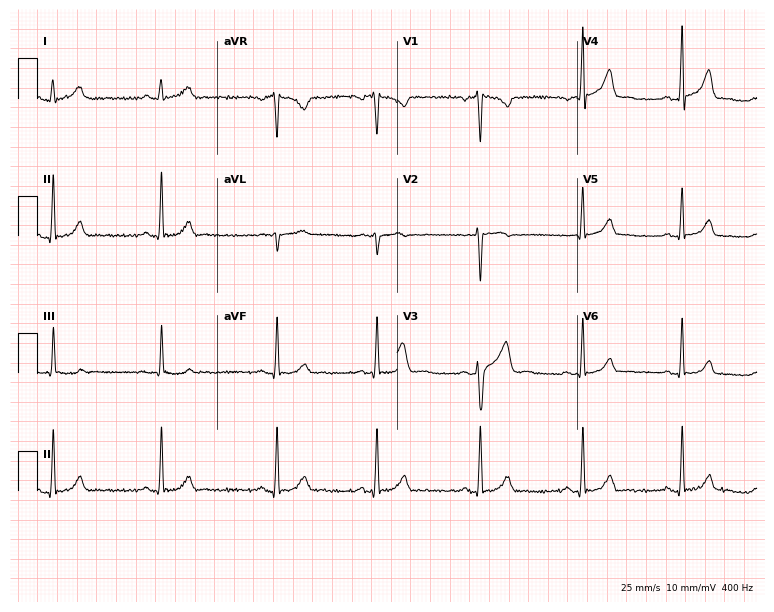
12-lead ECG (7.3-second recording at 400 Hz) from a 31-year-old man. Screened for six findings — first-degree AV block, right bundle branch block (RBBB), left bundle branch block (LBBB), sinus bradycardia, atrial fibrillation (AF), sinus tachycardia — none is recorded. Only these six findings were labelled.